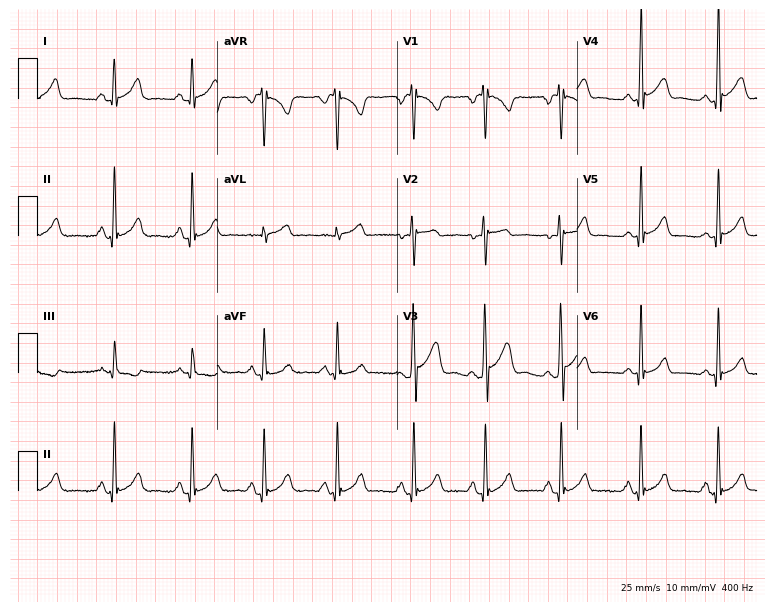
Resting 12-lead electrocardiogram. Patient: a female, 23 years old. None of these six findings is recorded: first-degree AV block, right bundle branch block, left bundle branch block, sinus bradycardia, atrial fibrillation, sinus tachycardia. Findings outside these six are not listed.